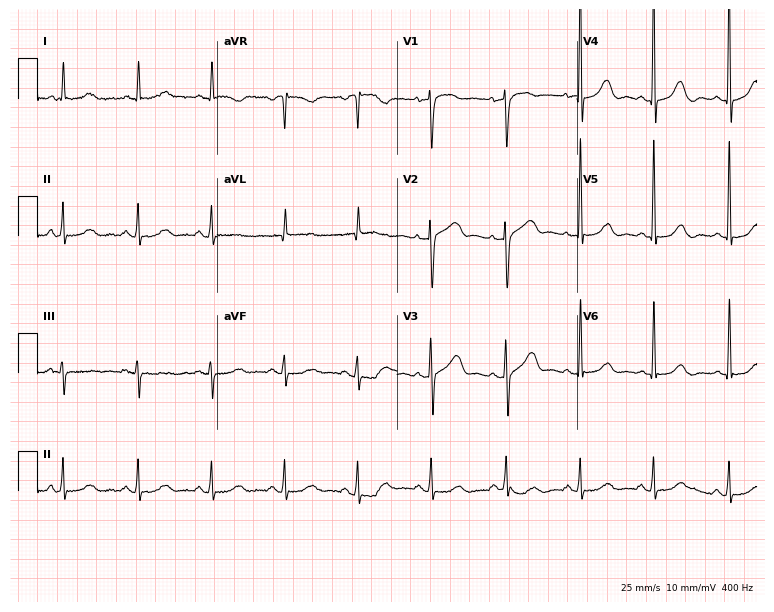
Resting 12-lead electrocardiogram (7.3-second recording at 400 Hz). Patient: a 76-year-old female. None of these six findings is recorded: first-degree AV block, right bundle branch block, left bundle branch block, sinus bradycardia, atrial fibrillation, sinus tachycardia. Other findings, if any, are not listed.